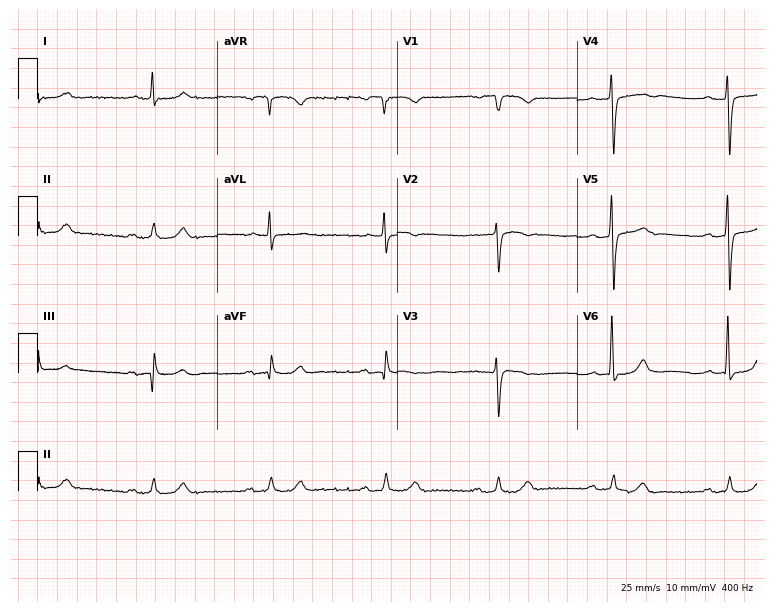
Resting 12-lead electrocardiogram (7.3-second recording at 400 Hz). Patient: a male, 74 years old. The tracing shows first-degree AV block.